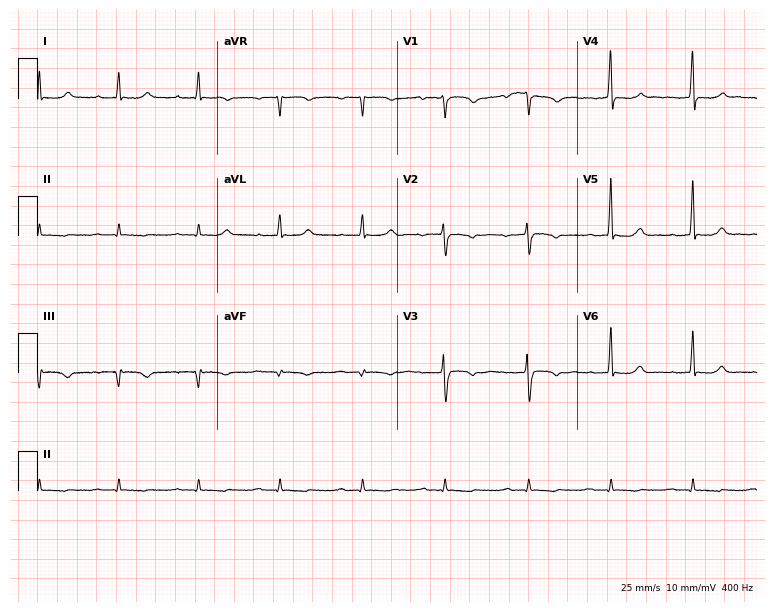
Standard 12-lead ECG recorded from a 47-year-old male patient. None of these six findings is recorded: first-degree AV block, right bundle branch block, left bundle branch block, sinus bradycardia, atrial fibrillation, sinus tachycardia. Findings outside these six are not listed.